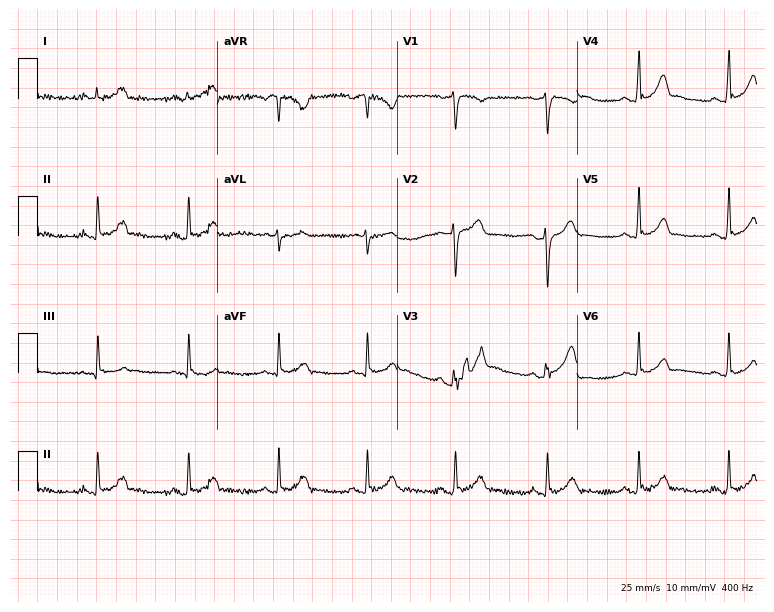
ECG — a 31-year-old male patient. Screened for six findings — first-degree AV block, right bundle branch block (RBBB), left bundle branch block (LBBB), sinus bradycardia, atrial fibrillation (AF), sinus tachycardia — none is recorded.